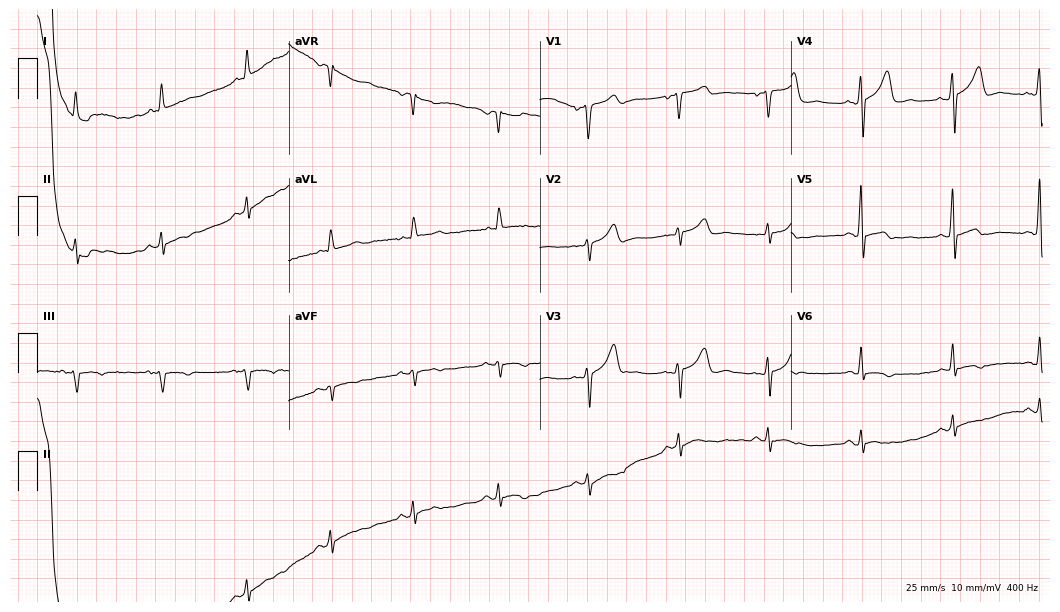
Resting 12-lead electrocardiogram (10.2-second recording at 400 Hz). Patient: a 61-year-old male. None of these six findings is recorded: first-degree AV block, right bundle branch block, left bundle branch block, sinus bradycardia, atrial fibrillation, sinus tachycardia. Other findings, if any, are not listed.